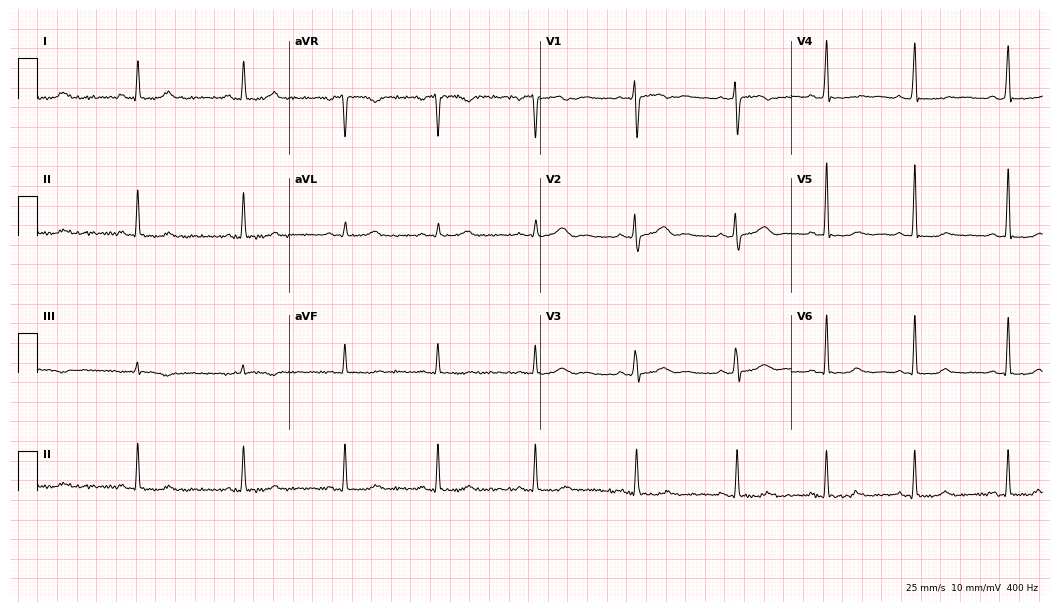
Standard 12-lead ECG recorded from a 32-year-old female patient. None of these six findings is recorded: first-degree AV block, right bundle branch block, left bundle branch block, sinus bradycardia, atrial fibrillation, sinus tachycardia.